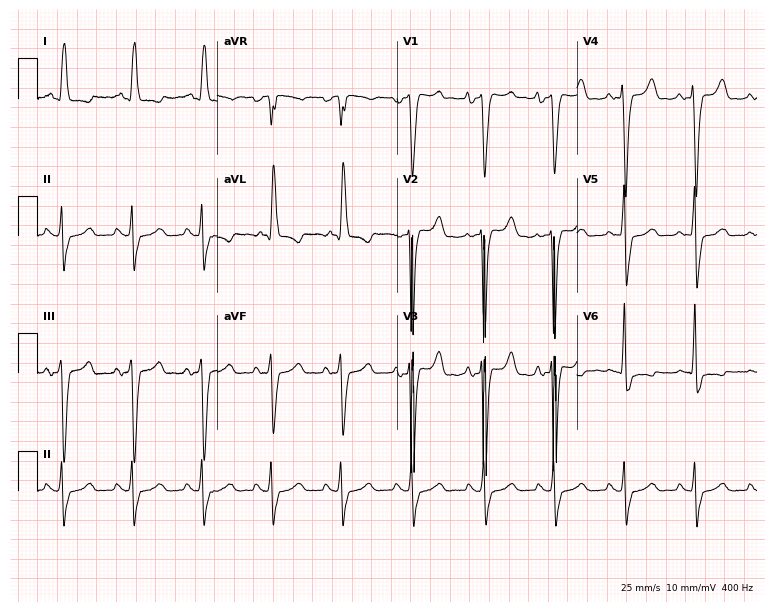
12-lead ECG from a 65-year-old female patient. Findings include left bundle branch block.